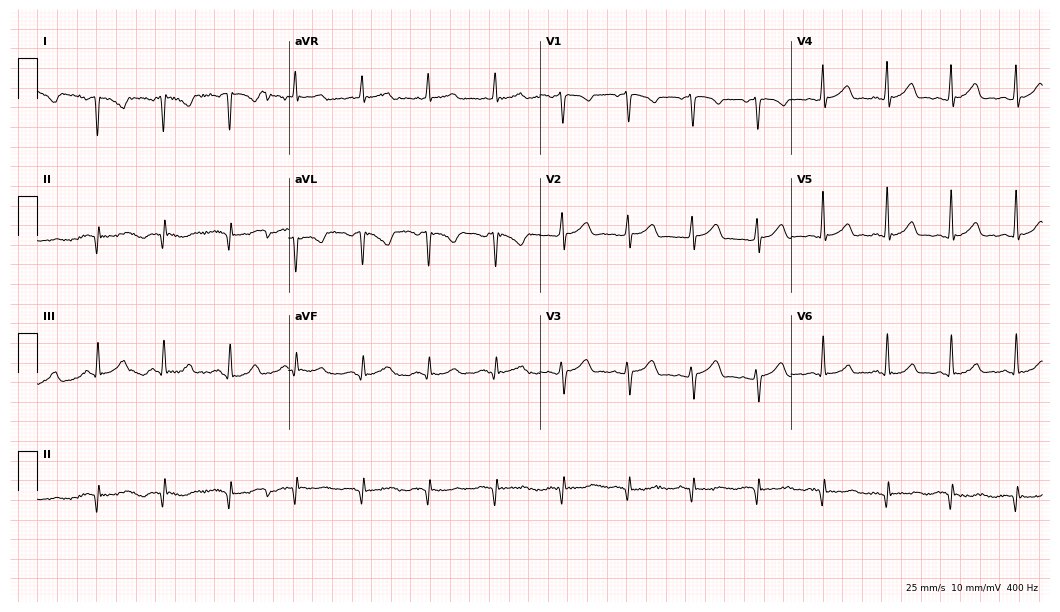
12-lead ECG from a 42-year-old female. Screened for six findings — first-degree AV block, right bundle branch block, left bundle branch block, sinus bradycardia, atrial fibrillation, sinus tachycardia — none is recorded. Findings outside these six are not listed.